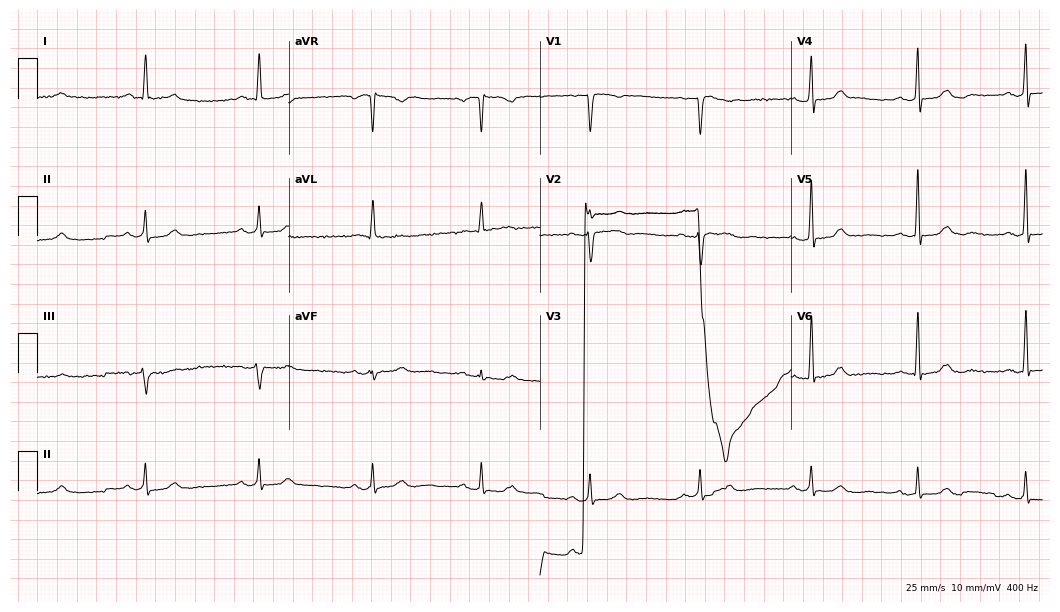
Electrocardiogram, a 57-year-old woman. Of the six screened findings (first-degree AV block, right bundle branch block (RBBB), left bundle branch block (LBBB), sinus bradycardia, atrial fibrillation (AF), sinus tachycardia), none is recorded.